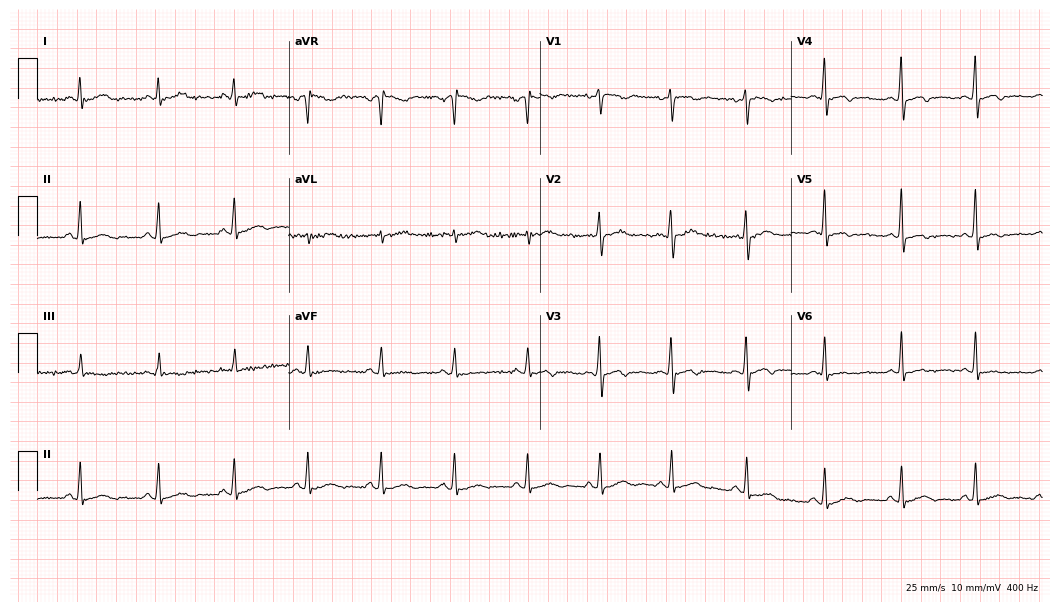
ECG (10.2-second recording at 400 Hz) — a 37-year-old female. Screened for six findings — first-degree AV block, right bundle branch block (RBBB), left bundle branch block (LBBB), sinus bradycardia, atrial fibrillation (AF), sinus tachycardia — none is recorded.